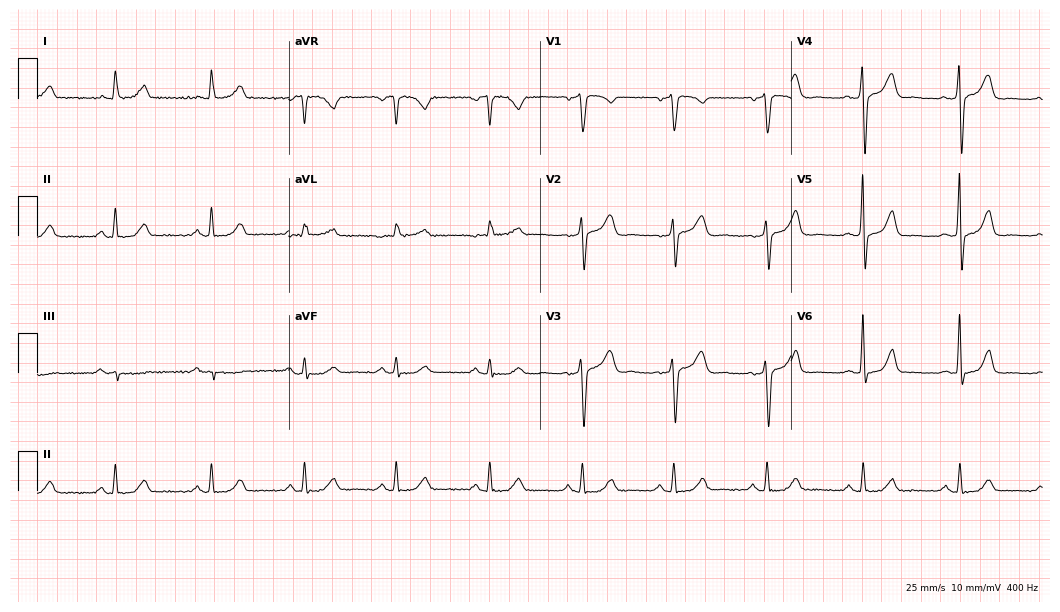
12-lead ECG from a male, 50 years old. No first-degree AV block, right bundle branch block, left bundle branch block, sinus bradycardia, atrial fibrillation or sinus tachycardia recorded for this tracing.